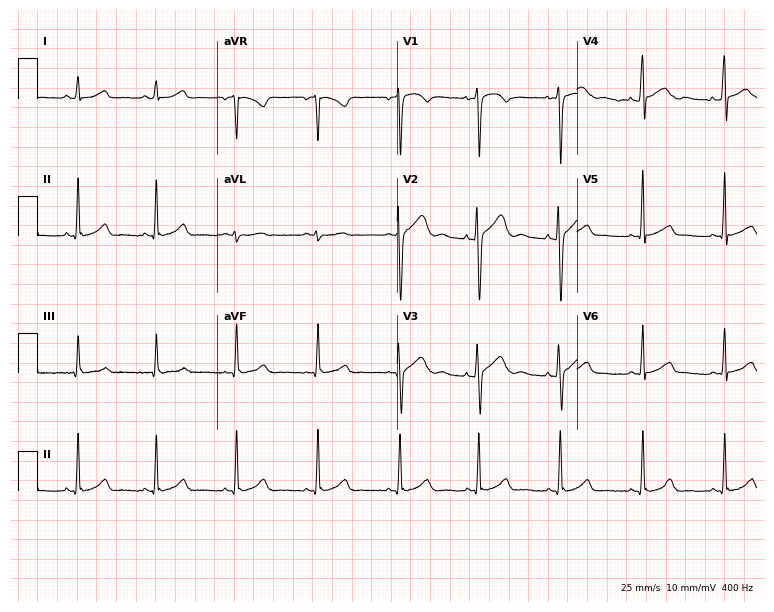
12-lead ECG from a 27-year-old female. Recorded interpretation: within normal limits.